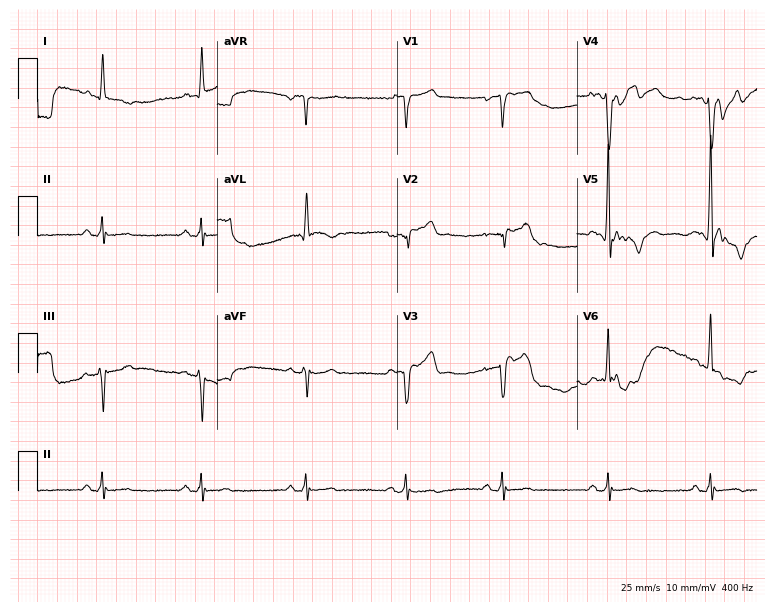
Resting 12-lead electrocardiogram. Patient: a 78-year-old male. None of these six findings is recorded: first-degree AV block, right bundle branch block (RBBB), left bundle branch block (LBBB), sinus bradycardia, atrial fibrillation (AF), sinus tachycardia. Other findings, if any, are not listed.